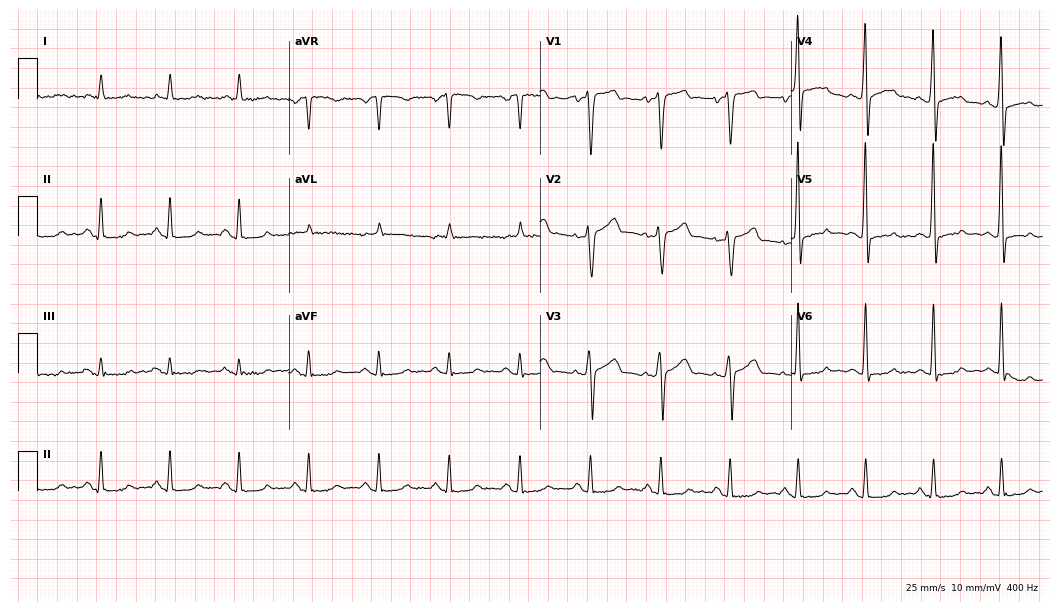
Standard 12-lead ECG recorded from a 71-year-old man (10.2-second recording at 400 Hz). None of these six findings is recorded: first-degree AV block, right bundle branch block (RBBB), left bundle branch block (LBBB), sinus bradycardia, atrial fibrillation (AF), sinus tachycardia. Only these six findings were labelled.